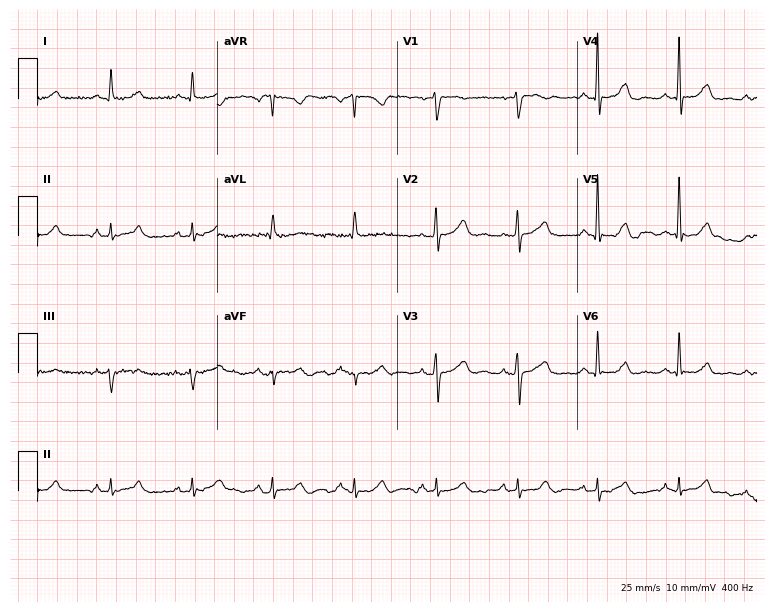
Standard 12-lead ECG recorded from a 57-year-old woman (7.3-second recording at 400 Hz). Read as a normal ECG.